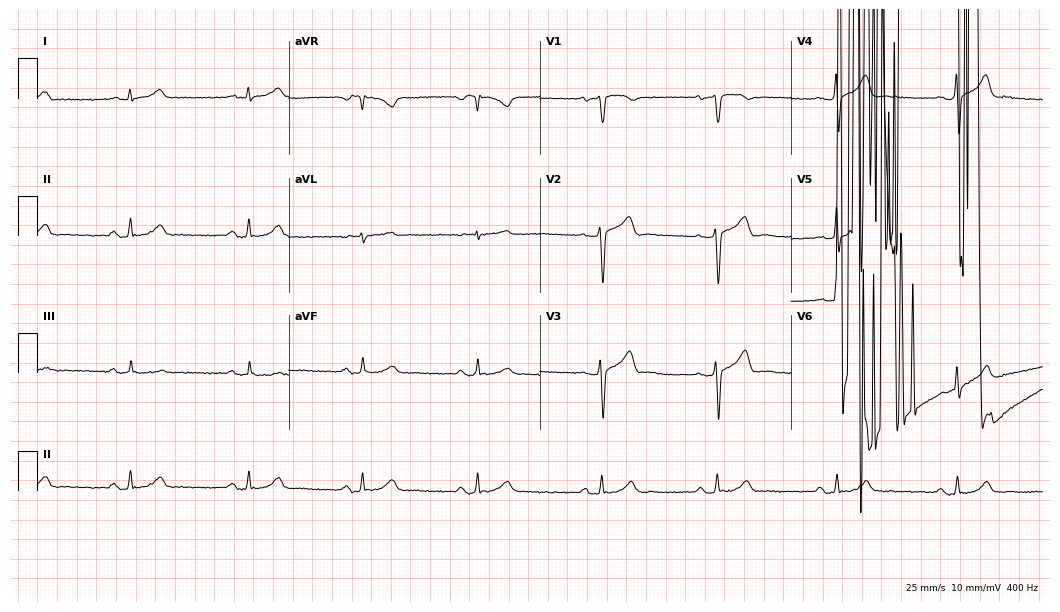
12-lead ECG from a 57-year-old man. Screened for six findings — first-degree AV block, right bundle branch block, left bundle branch block, sinus bradycardia, atrial fibrillation, sinus tachycardia — none is recorded.